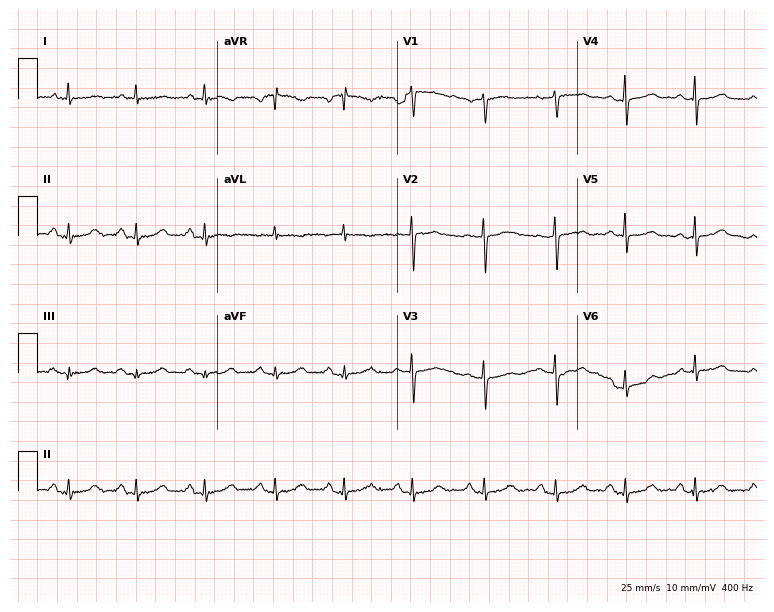
12-lead ECG from a 66-year-old female. No first-degree AV block, right bundle branch block (RBBB), left bundle branch block (LBBB), sinus bradycardia, atrial fibrillation (AF) or sinus tachycardia recorded for this tracing. Only these six findings were labelled.